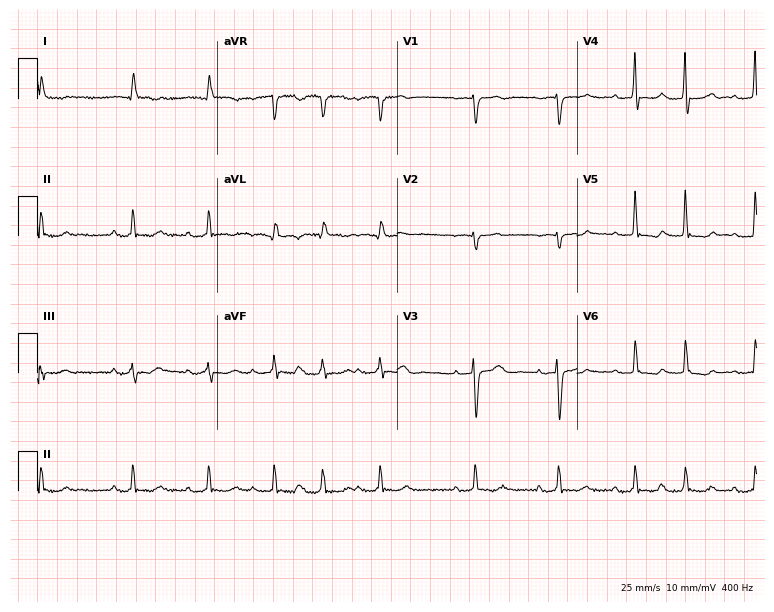
ECG (7.3-second recording at 400 Hz) — a woman, 75 years old. Screened for six findings — first-degree AV block, right bundle branch block, left bundle branch block, sinus bradycardia, atrial fibrillation, sinus tachycardia — none is recorded.